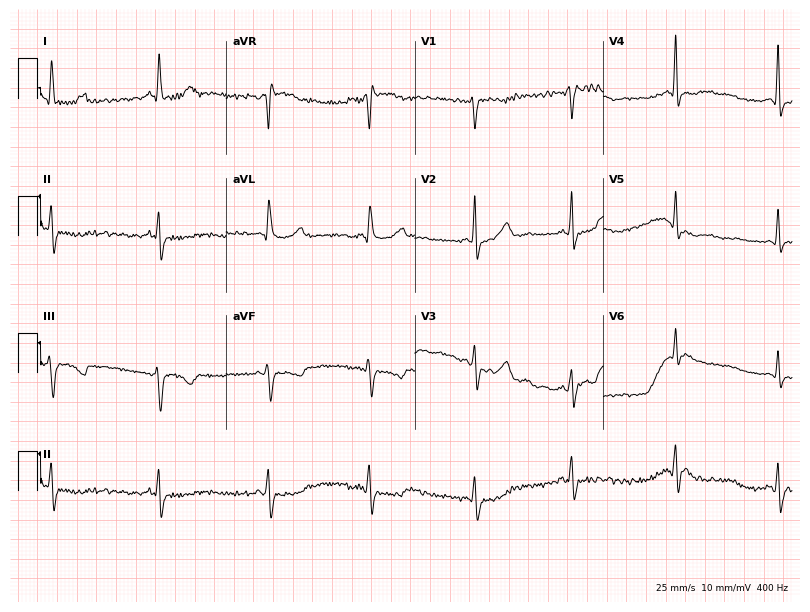
12-lead ECG from a 64-year-old female patient (7.7-second recording at 400 Hz). No first-degree AV block, right bundle branch block, left bundle branch block, sinus bradycardia, atrial fibrillation or sinus tachycardia recorded for this tracing. Findings outside these six are not listed.